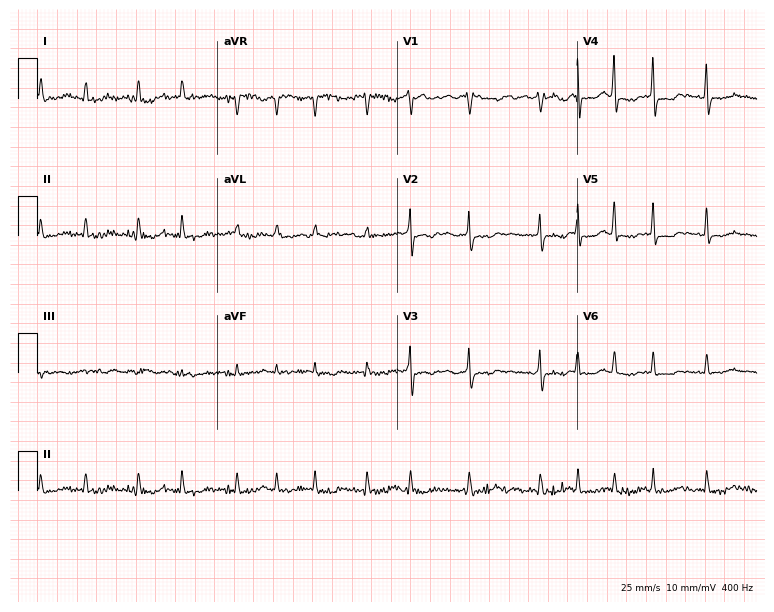
Resting 12-lead electrocardiogram. Patient: a woman, 69 years old. The tracing shows atrial fibrillation.